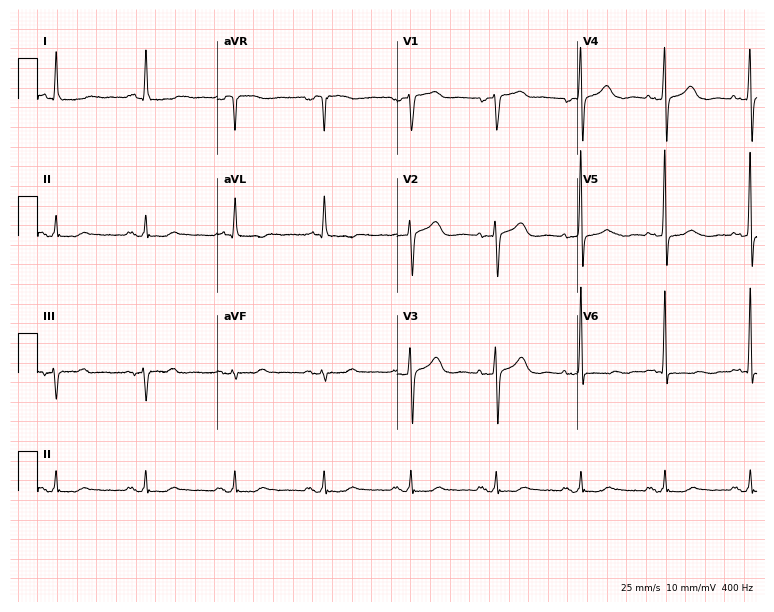
Resting 12-lead electrocardiogram (7.3-second recording at 400 Hz). Patient: a 72-year-old female. None of these six findings is recorded: first-degree AV block, right bundle branch block, left bundle branch block, sinus bradycardia, atrial fibrillation, sinus tachycardia.